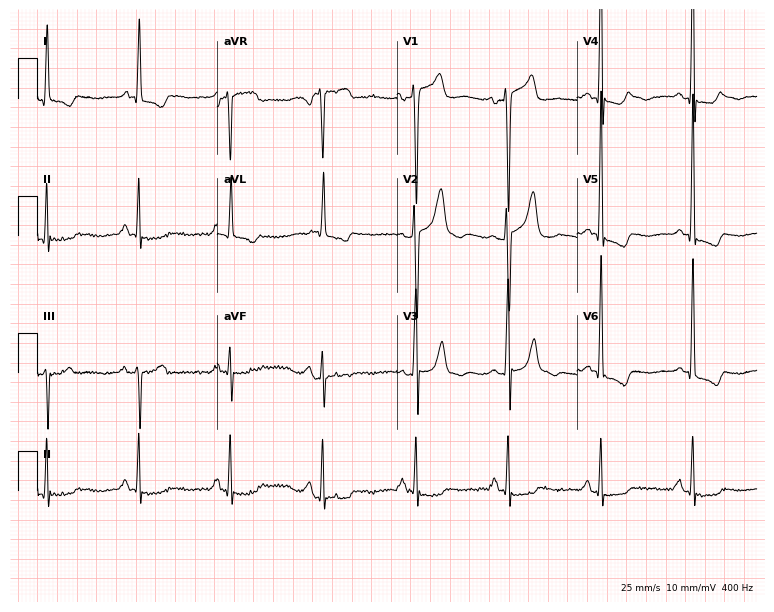
12-lead ECG from a man, 64 years old (7.3-second recording at 400 Hz). No first-degree AV block, right bundle branch block (RBBB), left bundle branch block (LBBB), sinus bradycardia, atrial fibrillation (AF) or sinus tachycardia recorded for this tracing.